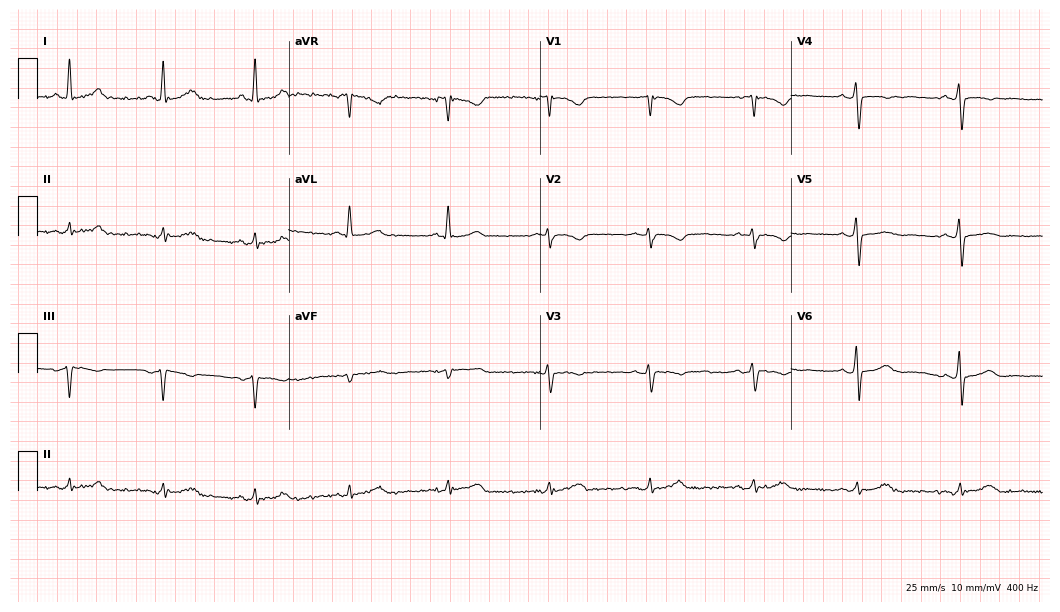
Electrocardiogram (10.2-second recording at 400 Hz), a female, 63 years old. Overall reading on record: normal ECG.